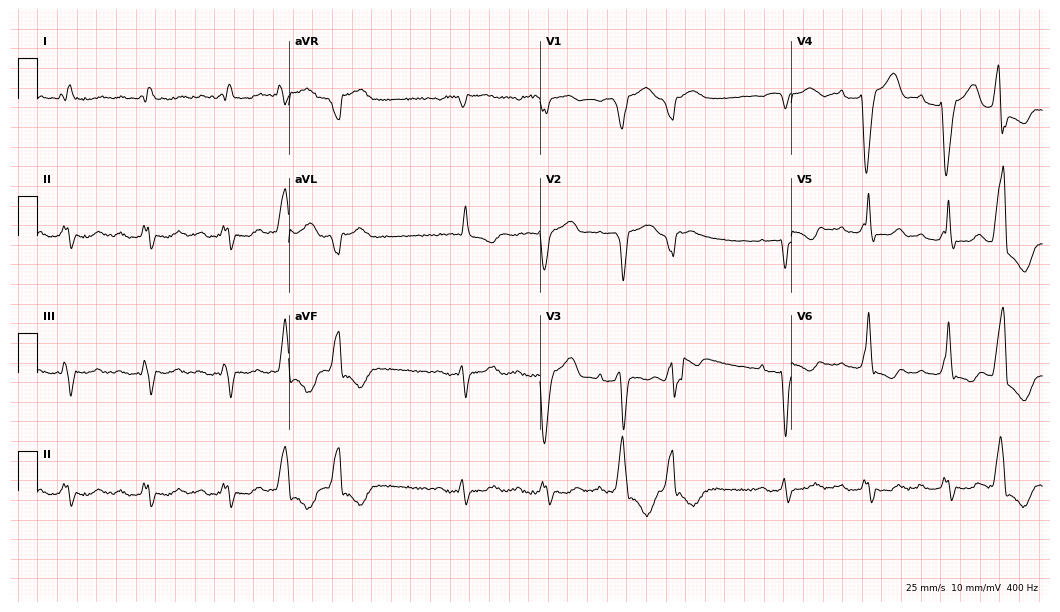
12-lead ECG from an 80-year-old man (10.2-second recording at 400 Hz). Shows first-degree AV block, left bundle branch block.